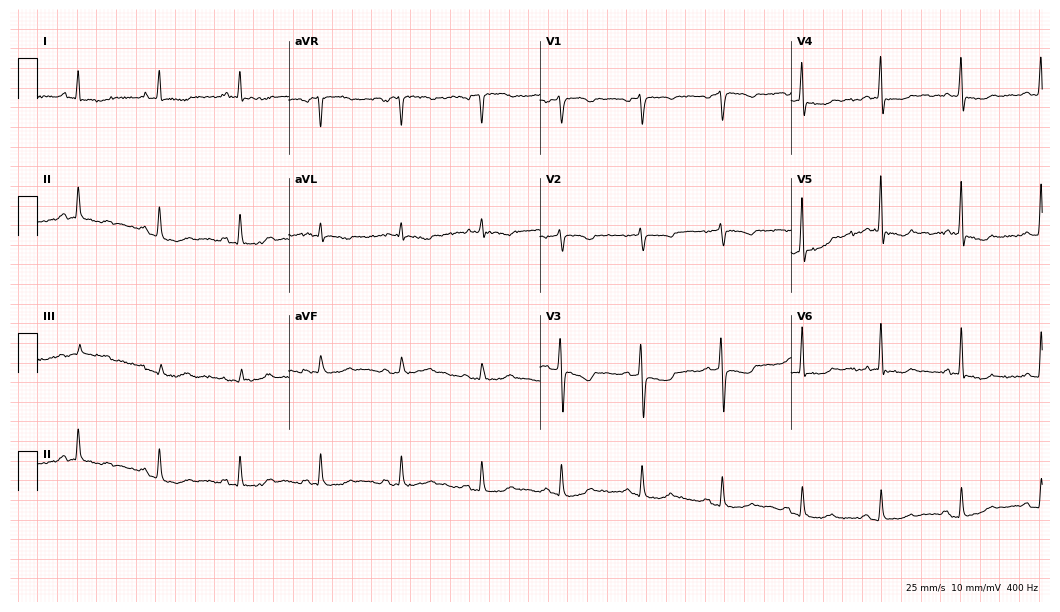
12-lead ECG (10.2-second recording at 400 Hz) from a woman, 66 years old. Screened for six findings — first-degree AV block, right bundle branch block (RBBB), left bundle branch block (LBBB), sinus bradycardia, atrial fibrillation (AF), sinus tachycardia — none is recorded. Other findings, if any, are not listed.